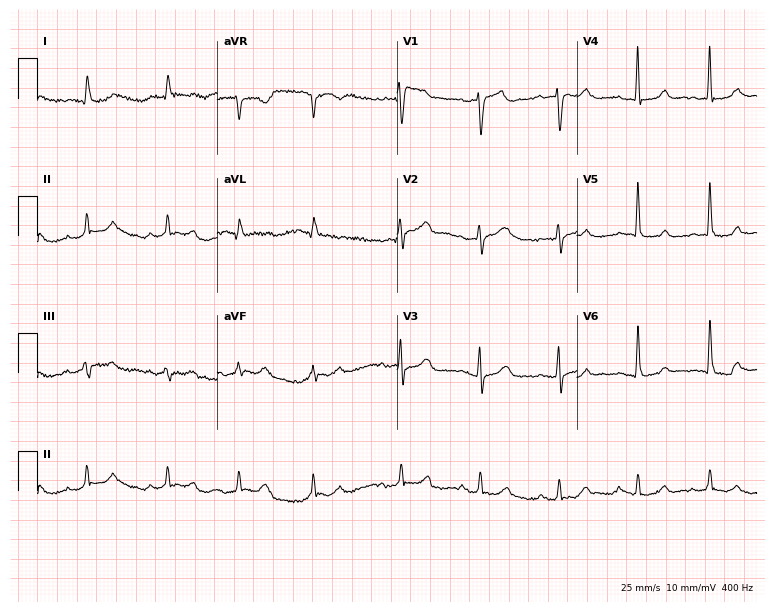
12-lead ECG from a 71-year-old woman (7.3-second recording at 400 Hz). Recorded interpretation: within normal limits.